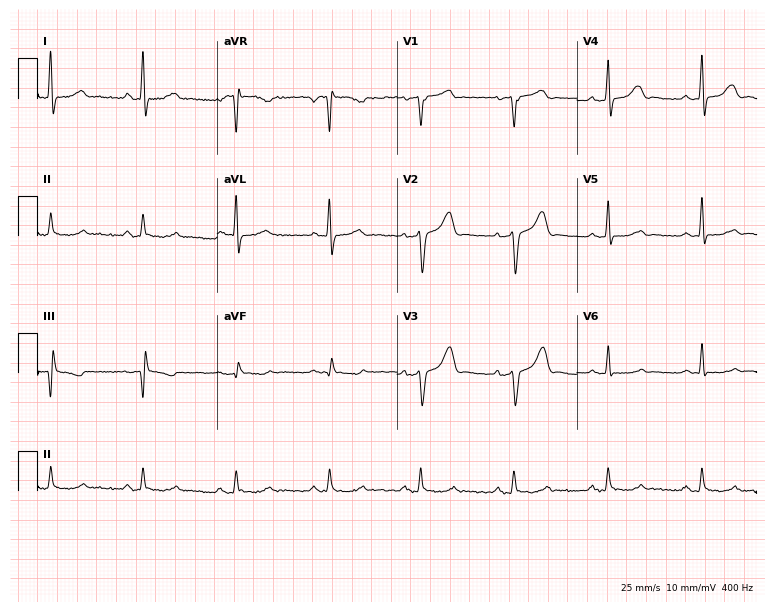
12-lead ECG from a female, 50 years old (7.3-second recording at 400 Hz). No first-degree AV block, right bundle branch block (RBBB), left bundle branch block (LBBB), sinus bradycardia, atrial fibrillation (AF) or sinus tachycardia recorded for this tracing. Only these six findings were labelled.